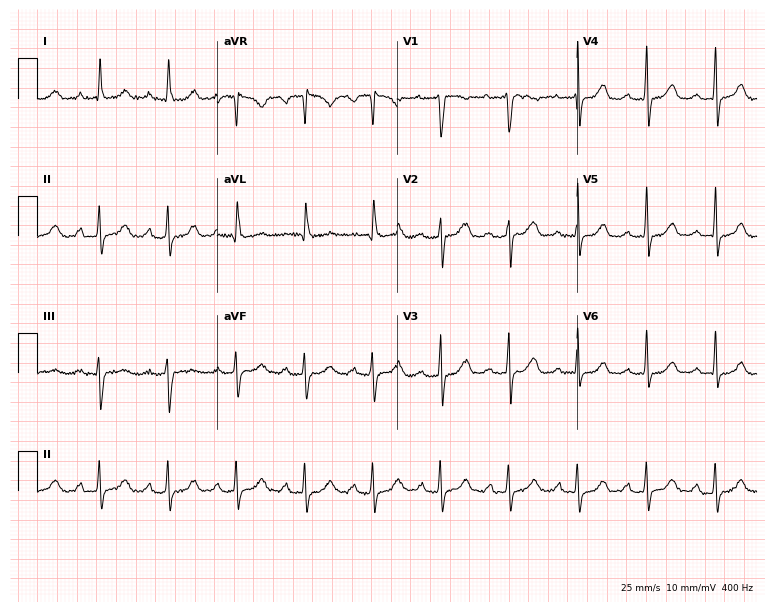
Standard 12-lead ECG recorded from a female, 58 years old (7.3-second recording at 400 Hz). The tracing shows first-degree AV block.